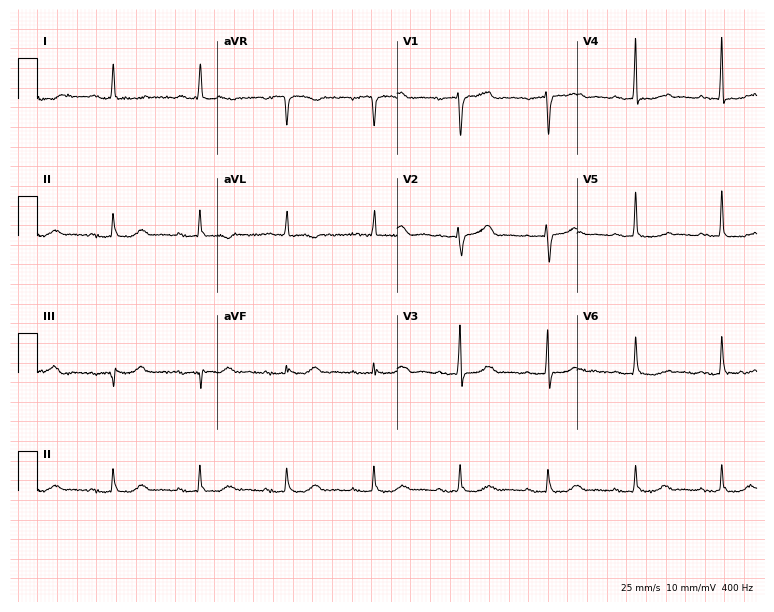
Standard 12-lead ECG recorded from a 67-year-old woman (7.3-second recording at 400 Hz). The tracing shows first-degree AV block.